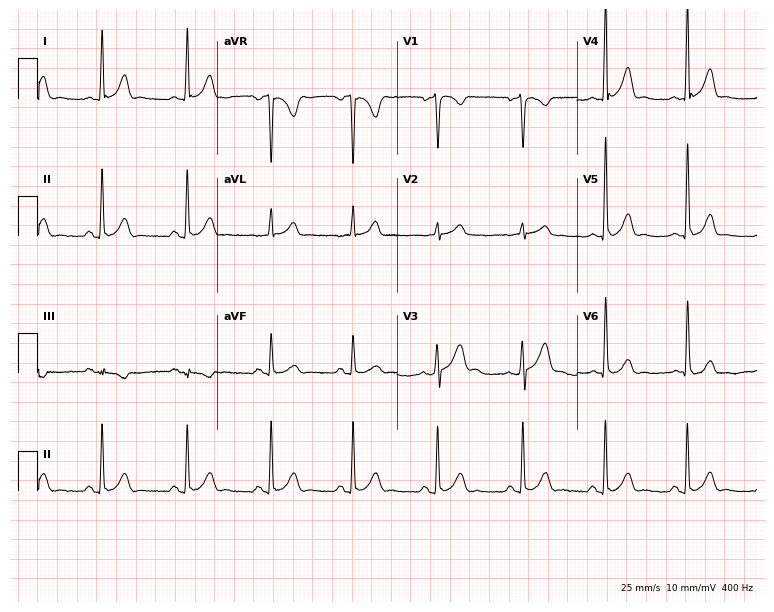
Electrocardiogram, a 56-year-old man. Of the six screened findings (first-degree AV block, right bundle branch block, left bundle branch block, sinus bradycardia, atrial fibrillation, sinus tachycardia), none is recorded. Only these six findings were labelled.